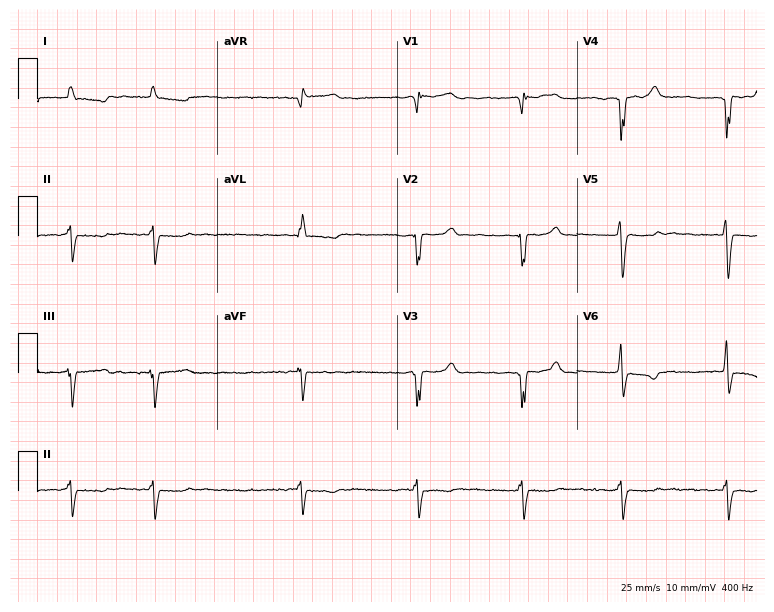
Standard 12-lead ECG recorded from a 74-year-old woman (7.3-second recording at 400 Hz). The tracing shows atrial fibrillation.